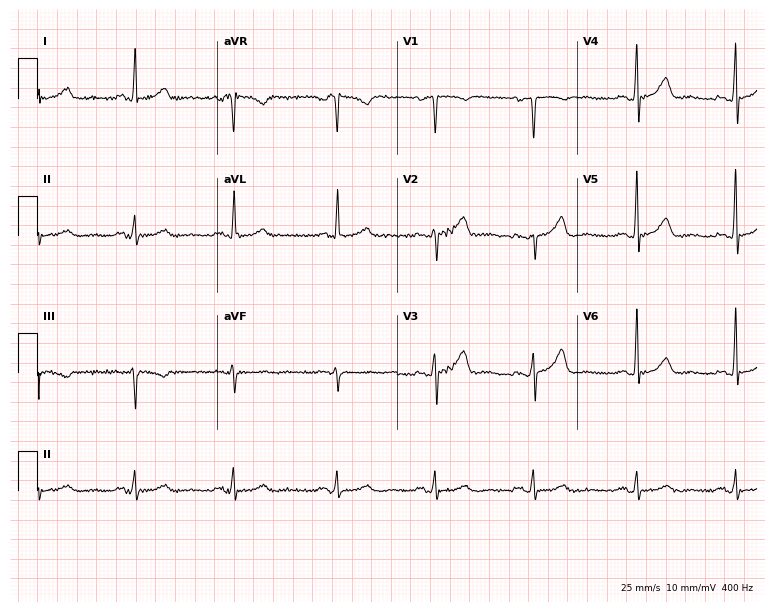
Standard 12-lead ECG recorded from a 68-year-old female. Read as a normal ECG.